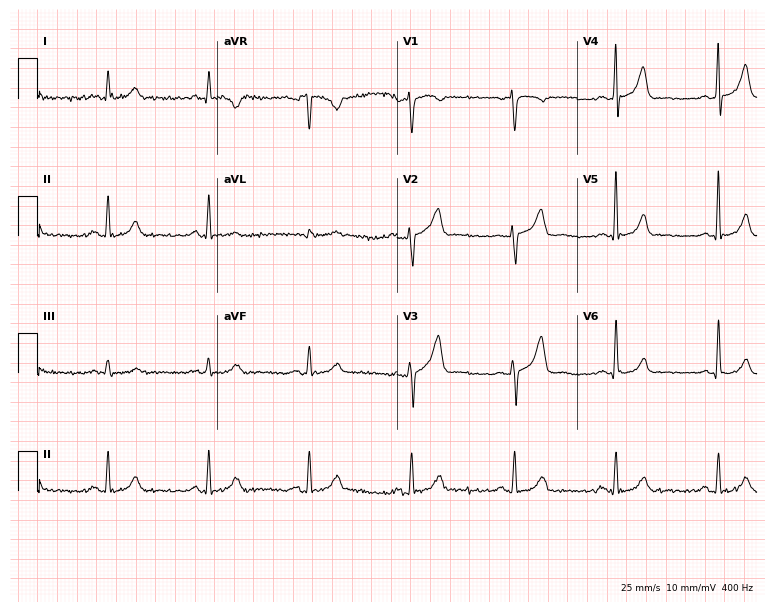
12-lead ECG from a 55-year-old male patient. Recorded interpretation: within normal limits.